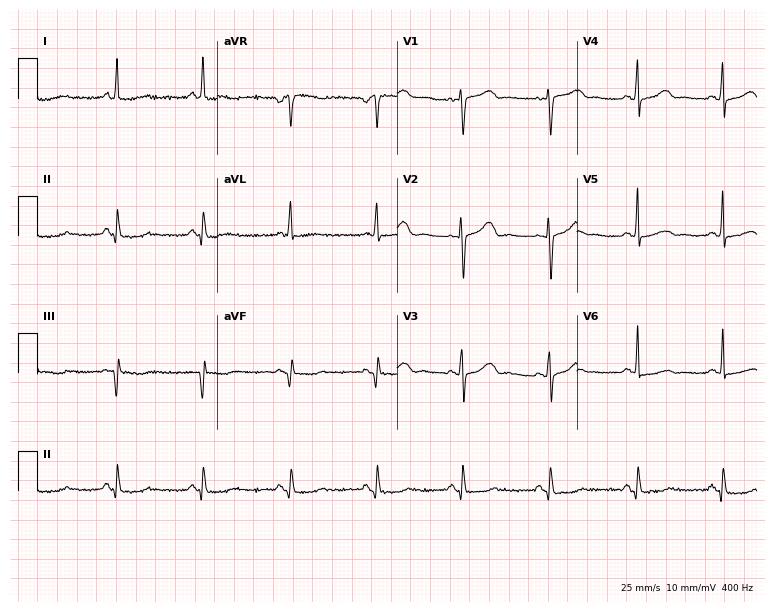
Standard 12-lead ECG recorded from a 50-year-old female. None of these six findings is recorded: first-degree AV block, right bundle branch block, left bundle branch block, sinus bradycardia, atrial fibrillation, sinus tachycardia. Only these six findings were labelled.